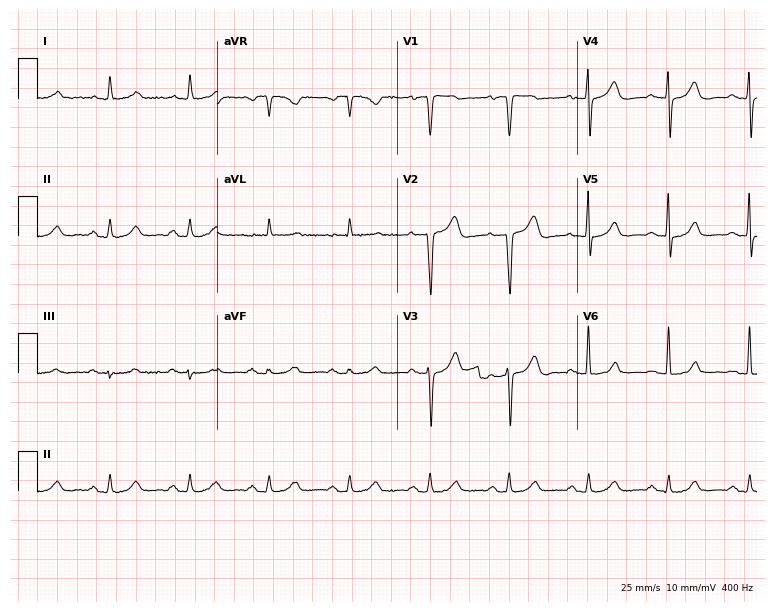
Standard 12-lead ECG recorded from a 76-year-old male patient (7.3-second recording at 400 Hz). Read as a normal ECG.